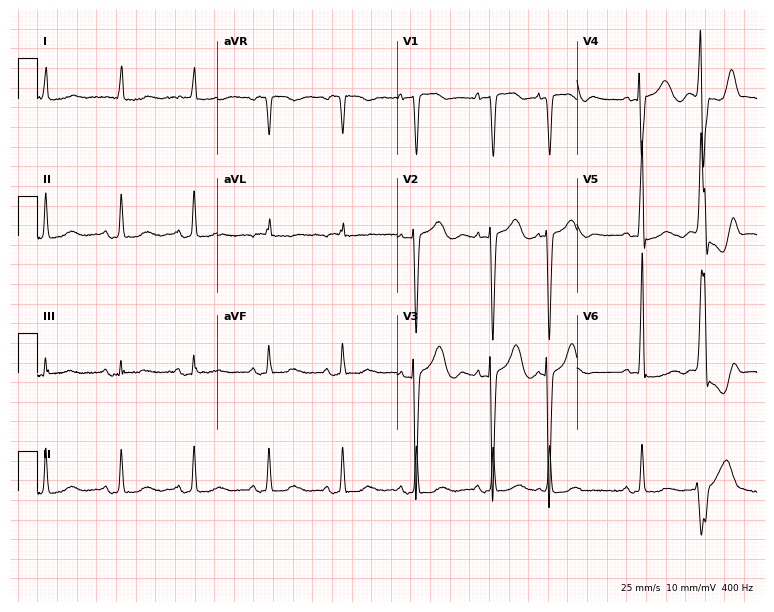
ECG (7.3-second recording at 400 Hz) — a female patient, 84 years old. Screened for six findings — first-degree AV block, right bundle branch block, left bundle branch block, sinus bradycardia, atrial fibrillation, sinus tachycardia — none is recorded. Findings outside these six are not listed.